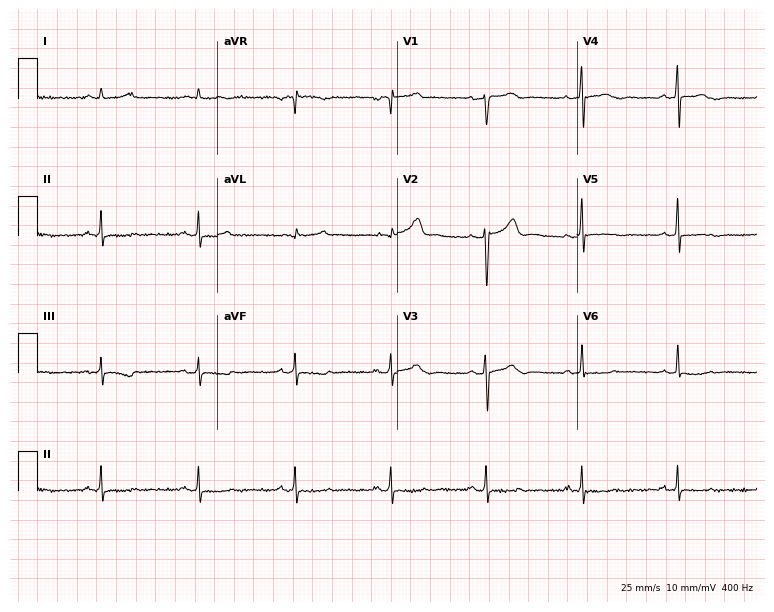
ECG — a female patient, 61 years old. Screened for six findings — first-degree AV block, right bundle branch block, left bundle branch block, sinus bradycardia, atrial fibrillation, sinus tachycardia — none is recorded.